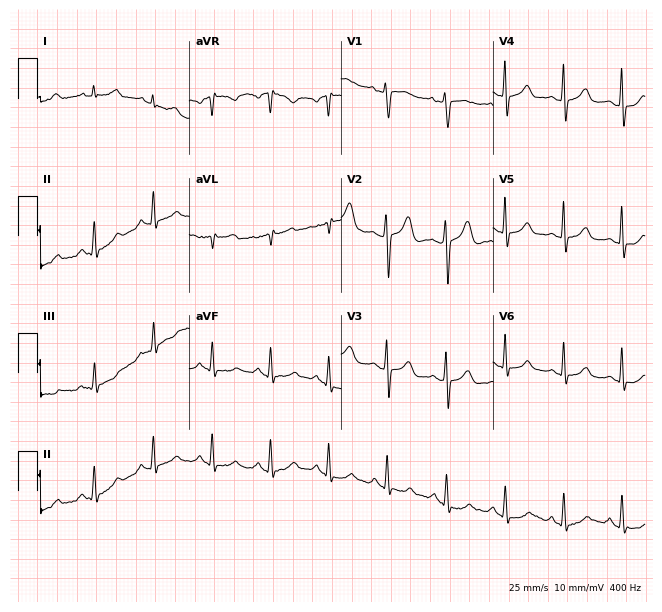
12-lead ECG from a female patient, 29 years old (6.2-second recording at 400 Hz). Recorded interpretation: within normal limits.